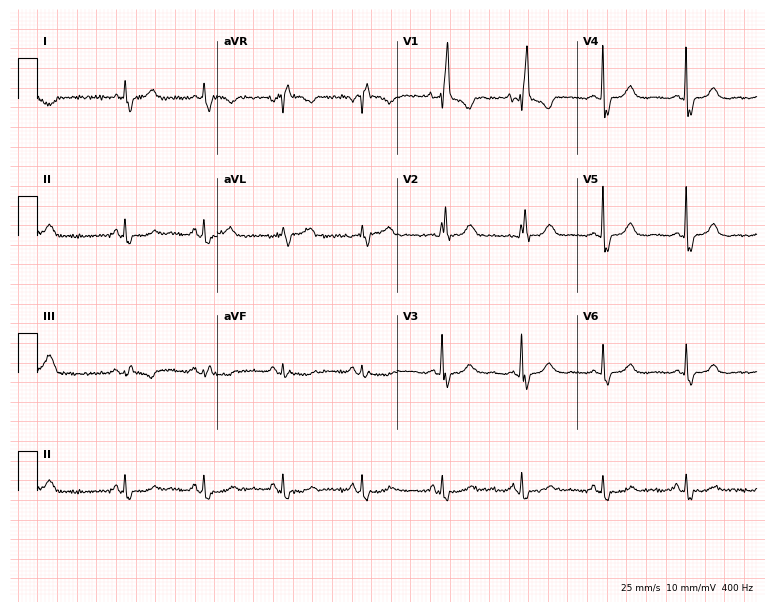
Standard 12-lead ECG recorded from a 76-year-old female patient (7.3-second recording at 400 Hz). The tracing shows right bundle branch block.